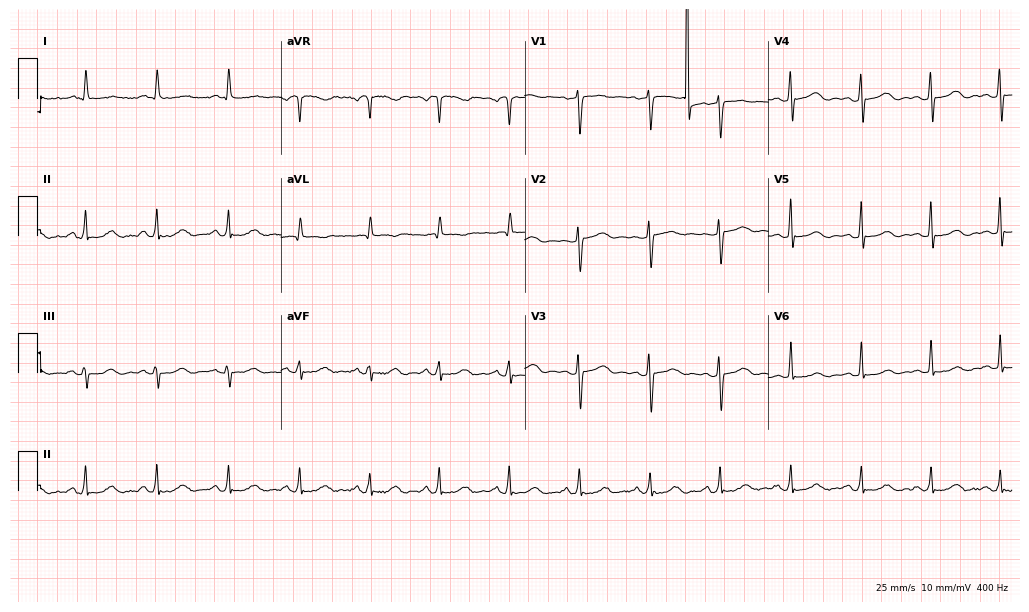
Resting 12-lead electrocardiogram. Patient: a 76-year-old woman. None of these six findings is recorded: first-degree AV block, right bundle branch block, left bundle branch block, sinus bradycardia, atrial fibrillation, sinus tachycardia.